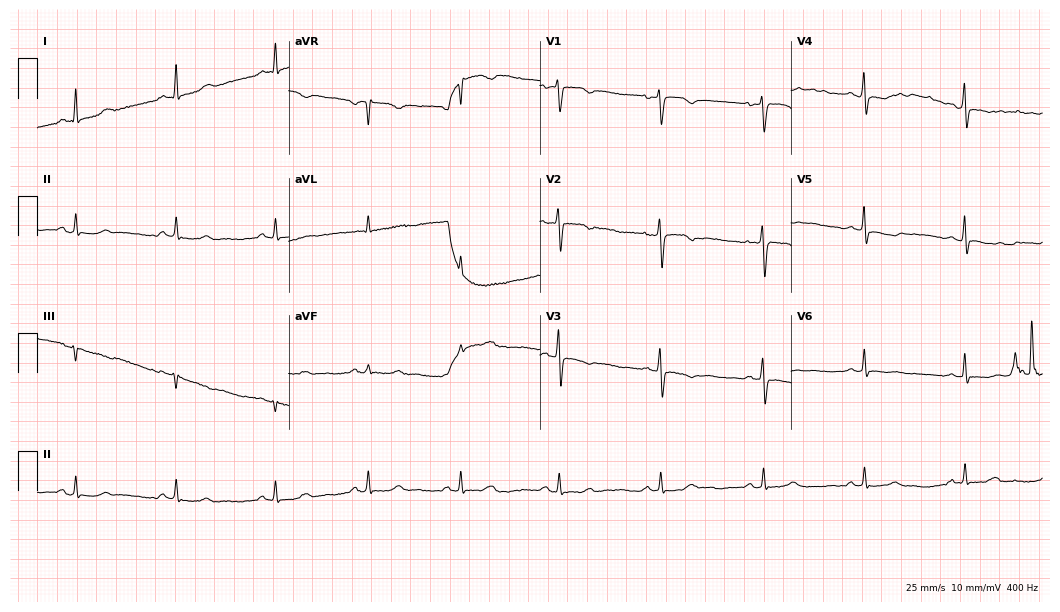
Resting 12-lead electrocardiogram. Patient: a 38-year-old woman. None of these six findings is recorded: first-degree AV block, right bundle branch block, left bundle branch block, sinus bradycardia, atrial fibrillation, sinus tachycardia.